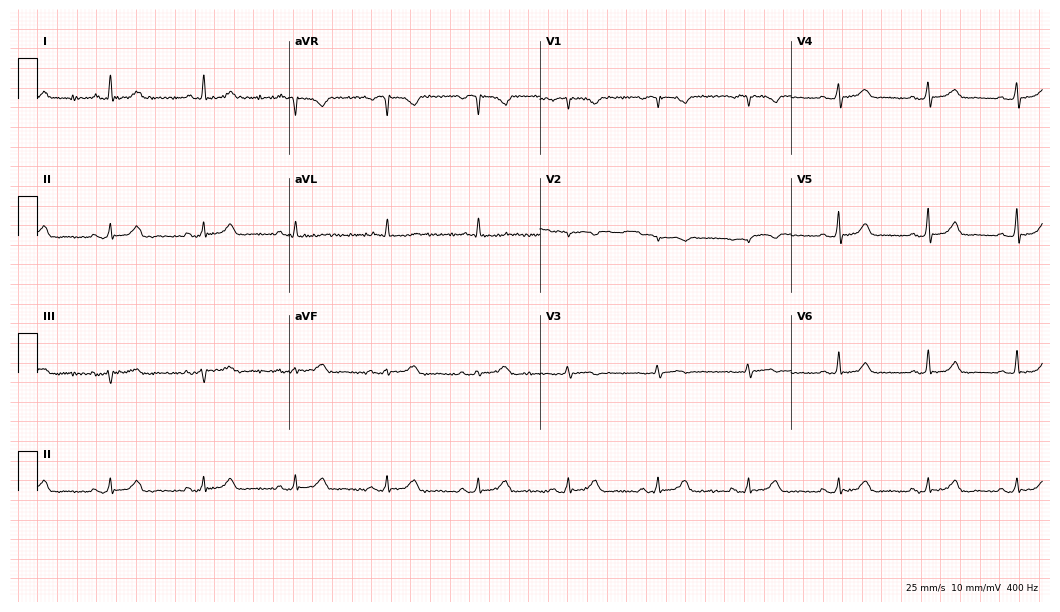
Standard 12-lead ECG recorded from a female, 69 years old. Read as a normal ECG.